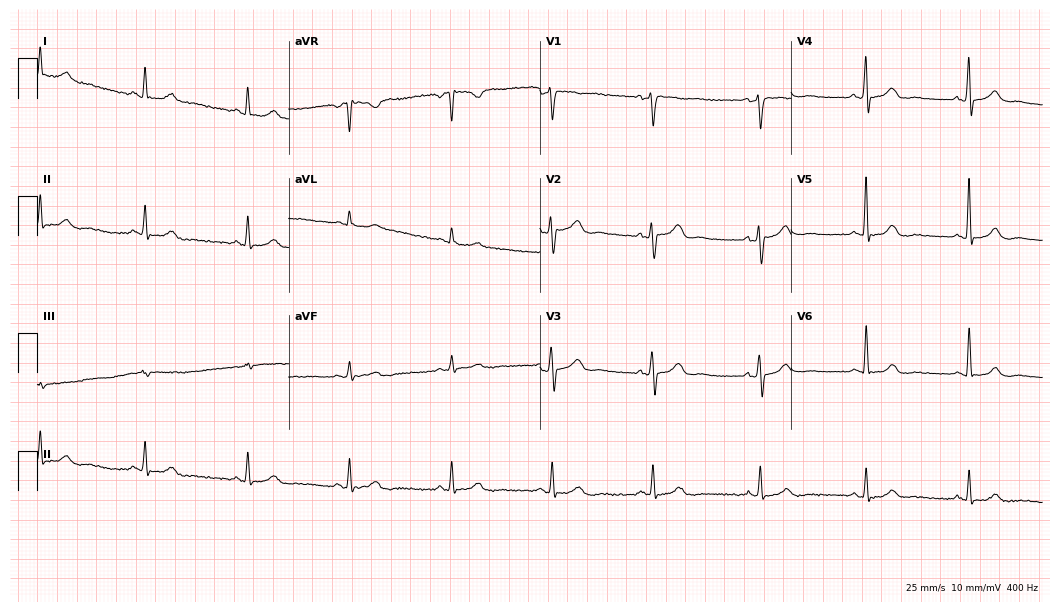
Standard 12-lead ECG recorded from a man, 59 years old (10.2-second recording at 400 Hz). Read as a normal ECG.